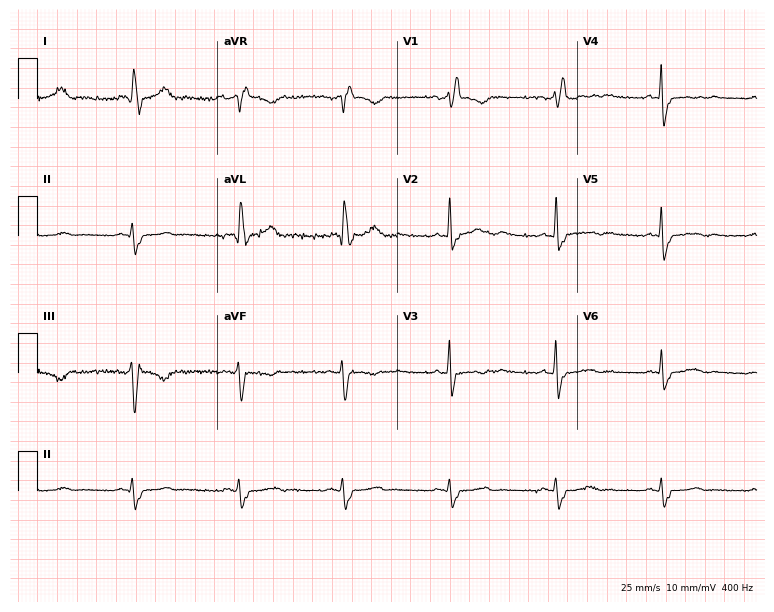
12-lead ECG from a female, 63 years old. Shows right bundle branch block.